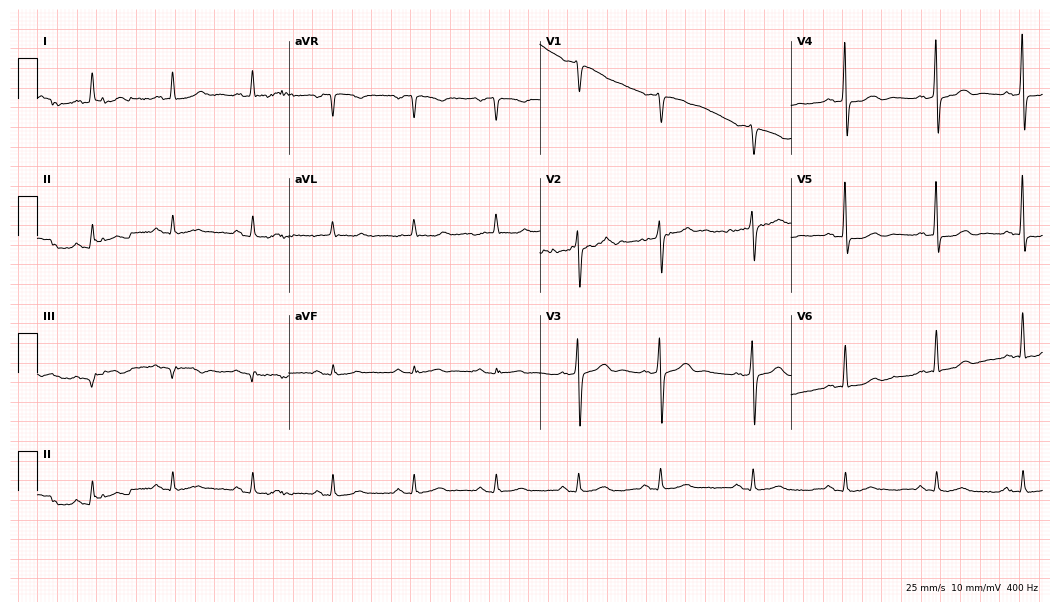
12-lead ECG from an 85-year-old male. No first-degree AV block, right bundle branch block, left bundle branch block, sinus bradycardia, atrial fibrillation or sinus tachycardia recorded for this tracing.